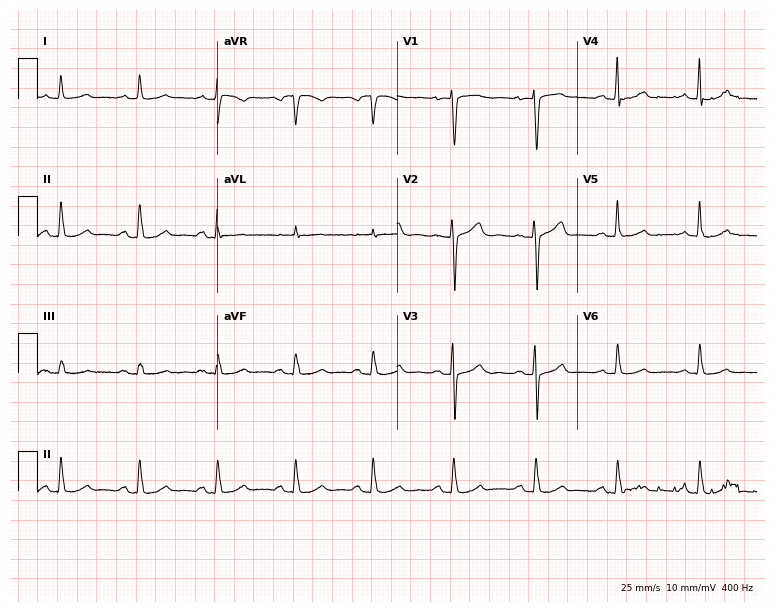
Standard 12-lead ECG recorded from a female patient, 62 years old (7.3-second recording at 400 Hz). None of these six findings is recorded: first-degree AV block, right bundle branch block, left bundle branch block, sinus bradycardia, atrial fibrillation, sinus tachycardia.